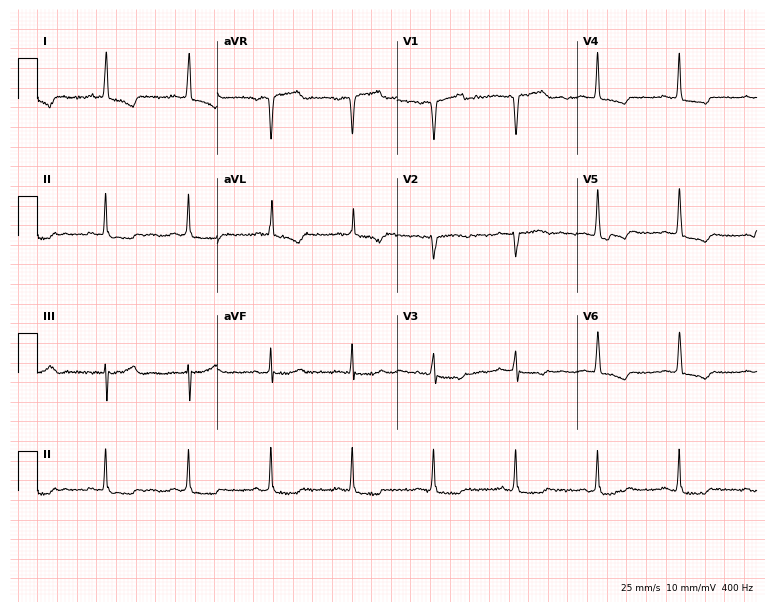
Resting 12-lead electrocardiogram (7.3-second recording at 400 Hz). Patient: a woman, 67 years old. None of these six findings is recorded: first-degree AV block, right bundle branch block, left bundle branch block, sinus bradycardia, atrial fibrillation, sinus tachycardia.